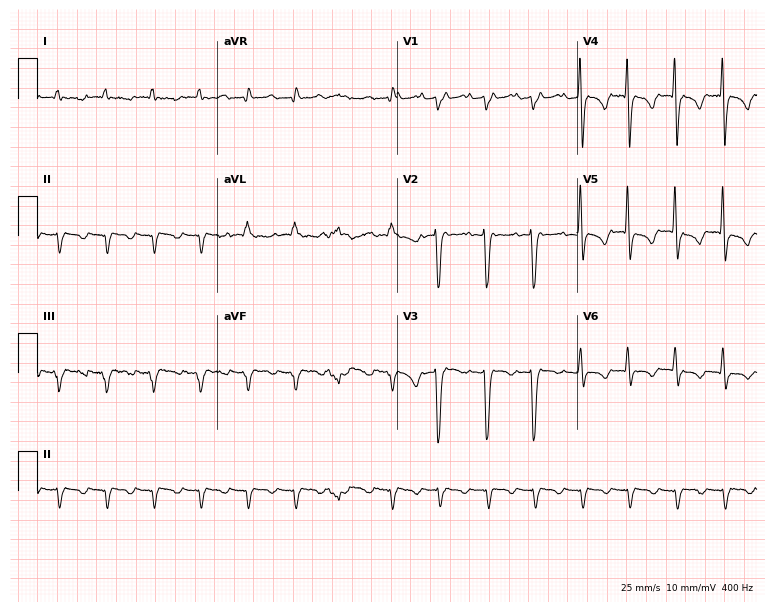
Resting 12-lead electrocardiogram (7.3-second recording at 400 Hz). Patient: a 36-year-old male. None of these six findings is recorded: first-degree AV block, right bundle branch block, left bundle branch block, sinus bradycardia, atrial fibrillation, sinus tachycardia. Findings outside these six are not listed.